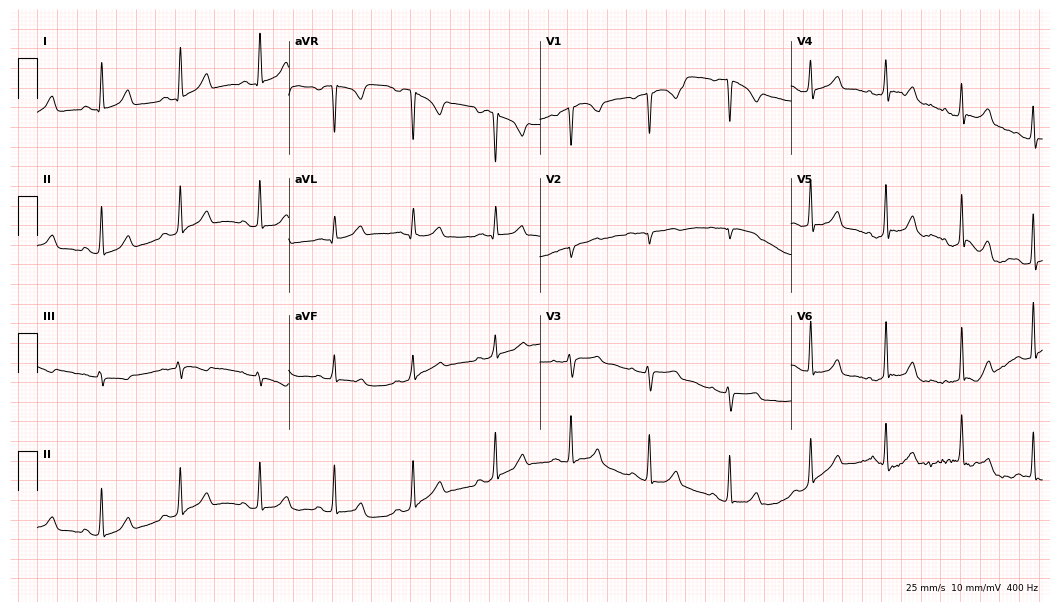
12-lead ECG from a female, 35 years old. Labelled as a normal ECG.